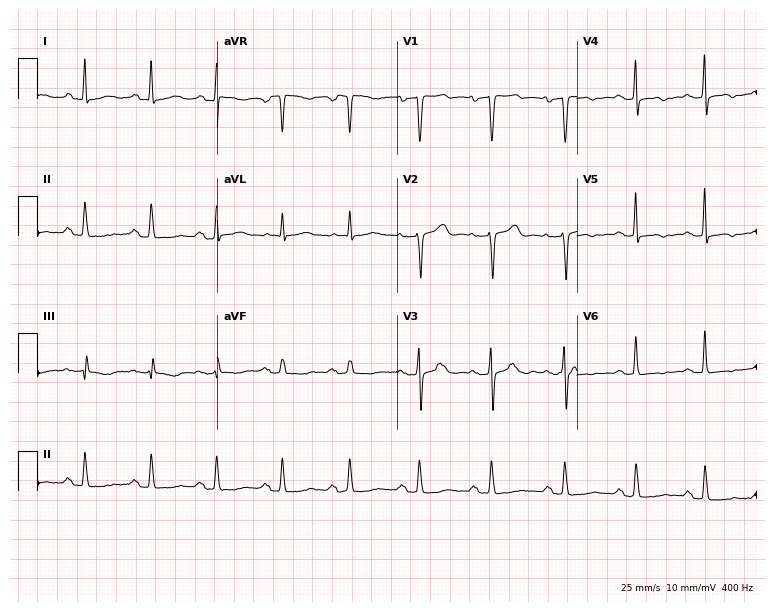
ECG — a 65-year-old female. Screened for six findings — first-degree AV block, right bundle branch block, left bundle branch block, sinus bradycardia, atrial fibrillation, sinus tachycardia — none is recorded.